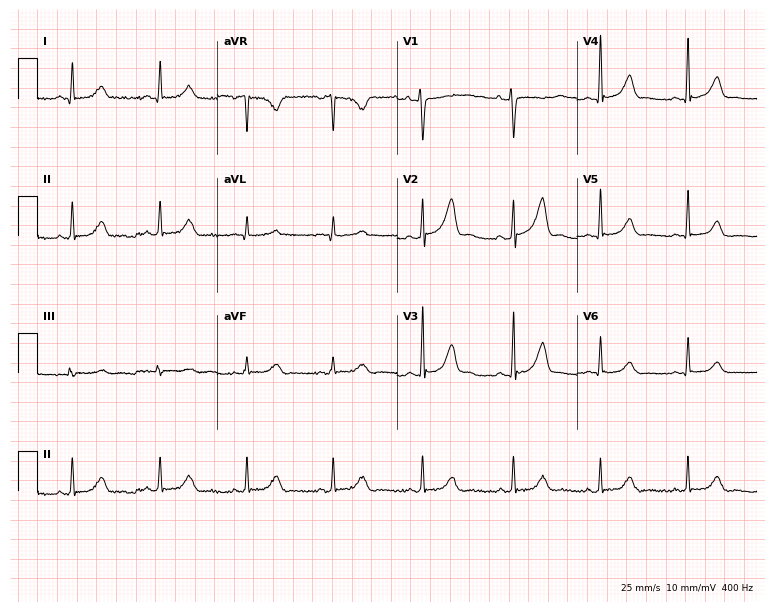
Electrocardiogram (7.3-second recording at 400 Hz), a 32-year-old woman. Of the six screened findings (first-degree AV block, right bundle branch block (RBBB), left bundle branch block (LBBB), sinus bradycardia, atrial fibrillation (AF), sinus tachycardia), none is recorded.